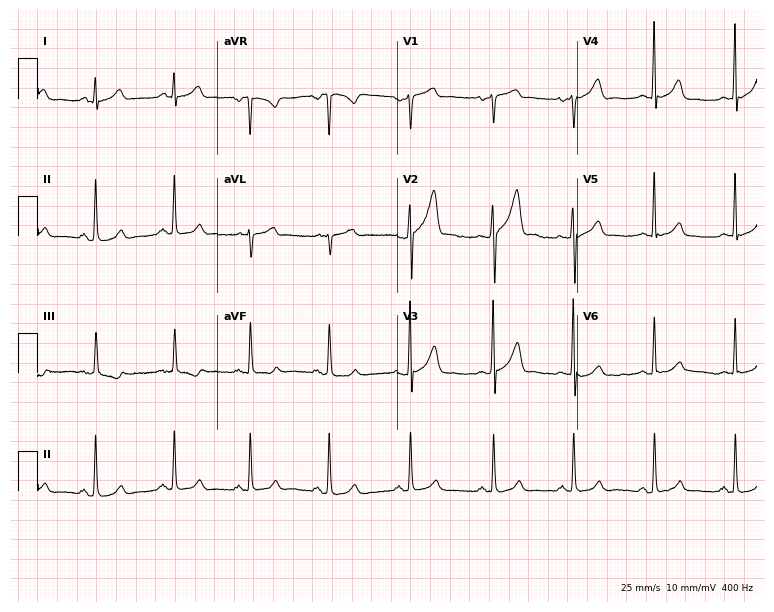
ECG (7.3-second recording at 400 Hz) — a 34-year-old male. Labelled as a normal ECG.